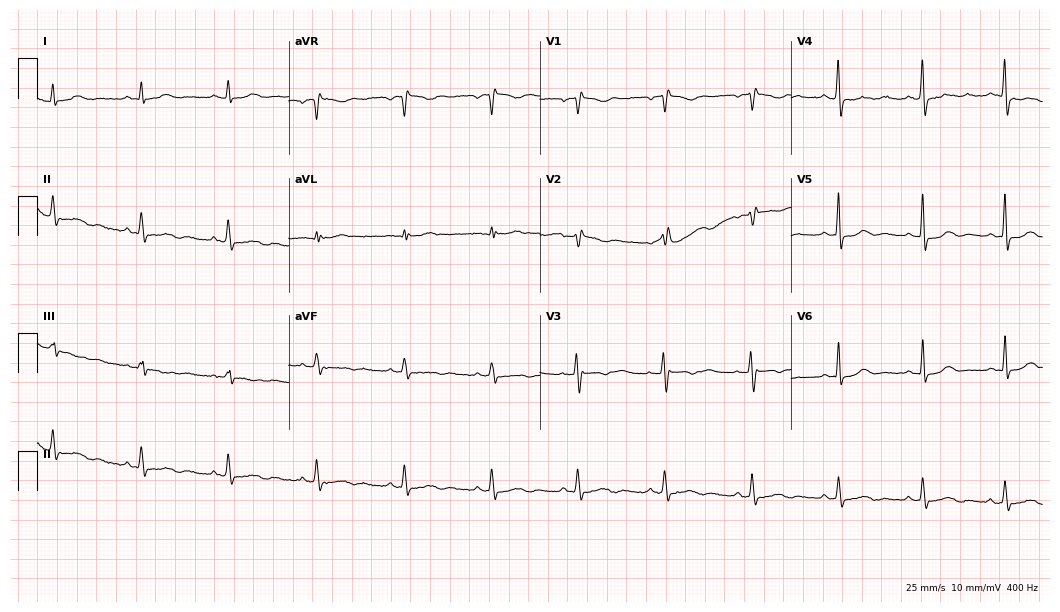
12-lead ECG from a female, 35 years old (10.2-second recording at 400 Hz). Recorded interpretation: within normal limits.